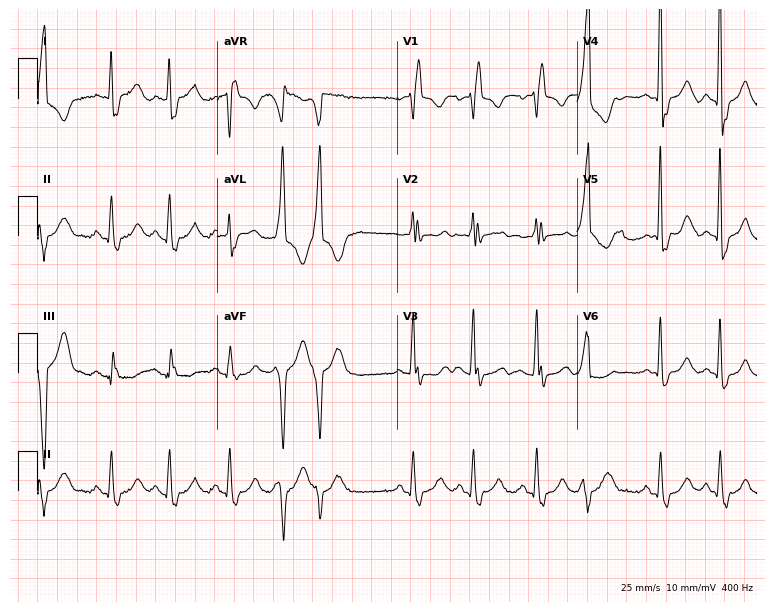
12-lead ECG (7.3-second recording at 400 Hz) from an 85-year-old woman. Findings include right bundle branch block.